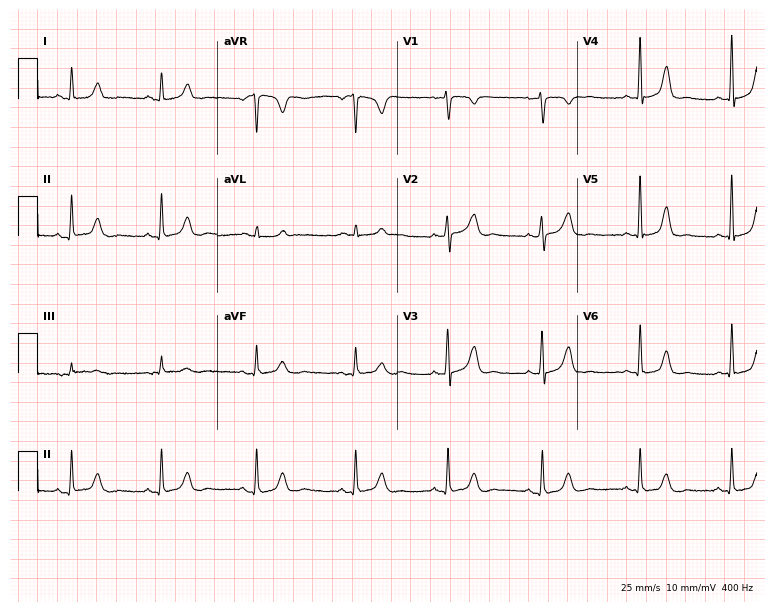
12-lead ECG from a woman, 43 years old. Screened for six findings — first-degree AV block, right bundle branch block (RBBB), left bundle branch block (LBBB), sinus bradycardia, atrial fibrillation (AF), sinus tachycardia — none is recorded.